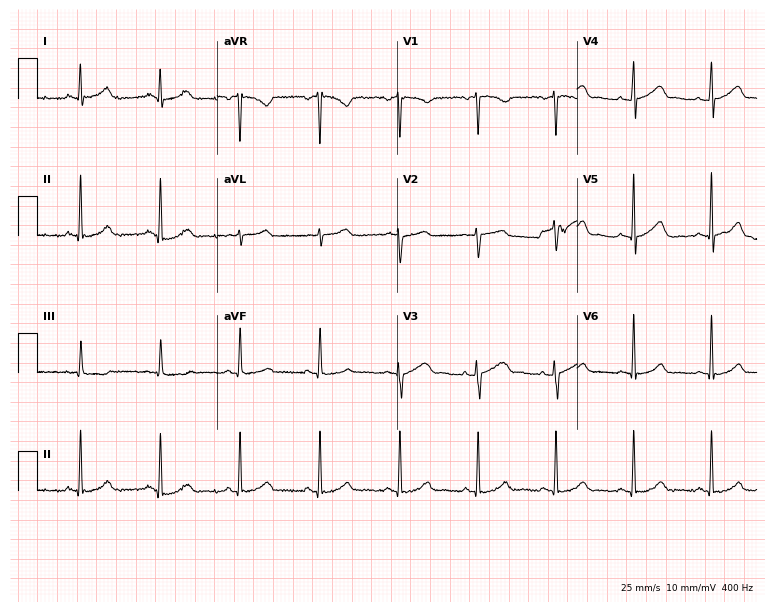
Resting 12-lead electrocardiogram (7.3-second recording at 400 Hz). Patient: a 36-year-old female. None of these six findings is recorded: first-degree AV block, right bundle branch block, left bundle branch block, sinus bradycardia, atrial fibrillation, sinus tachycardia.